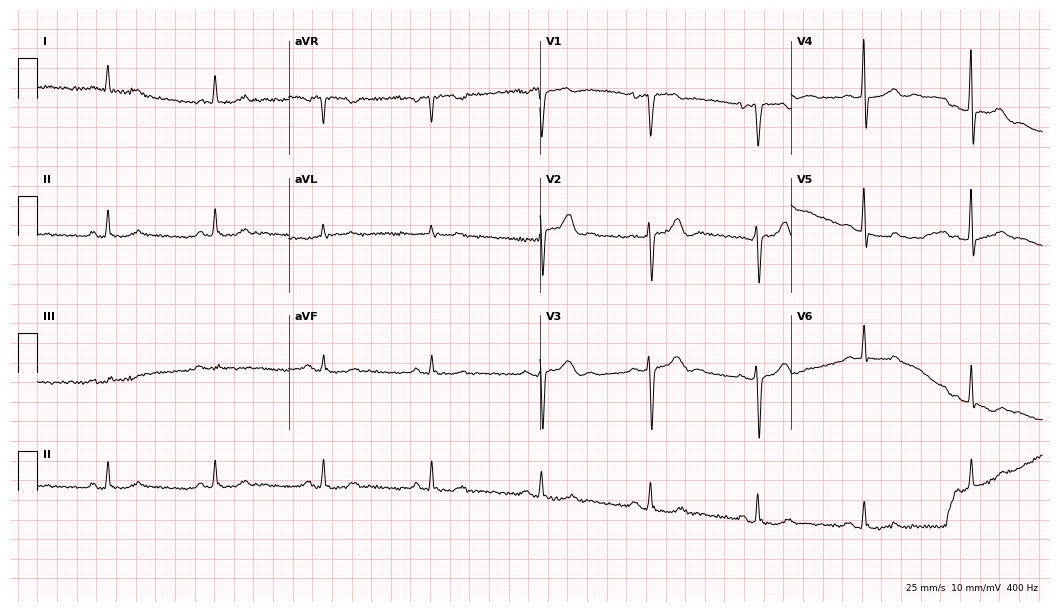
Resting 12-lead electrocardiogram. Patient: a male, 84 years old. Read as a normal ECG.